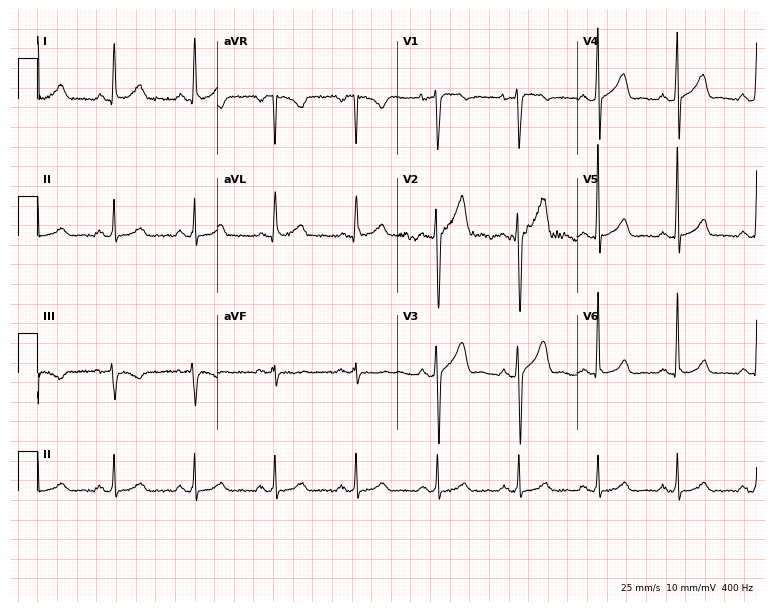
Electrocardiogram, a male patient, 45 years old. Overall reading on record: normal ECG.